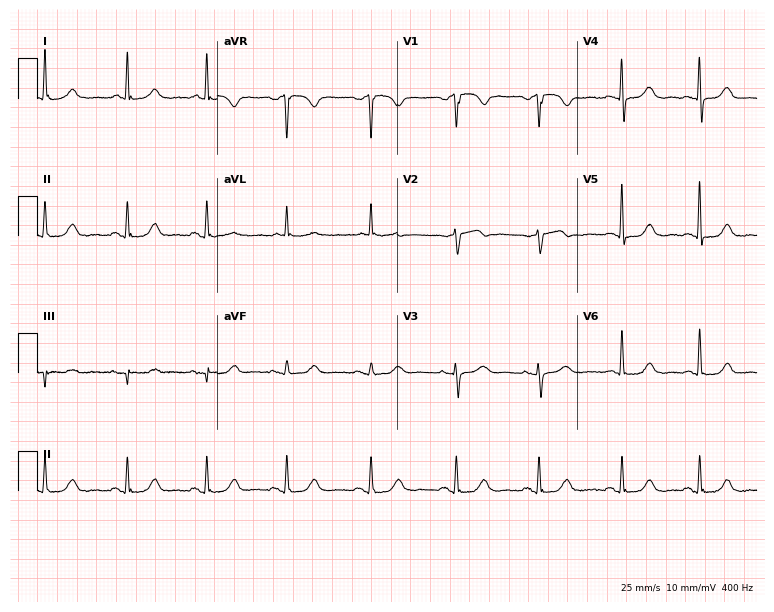
12-lead ECG from a 75-year-old female (7.3-second recording at 400 Hz). Recorded interpretation: within normal limits.